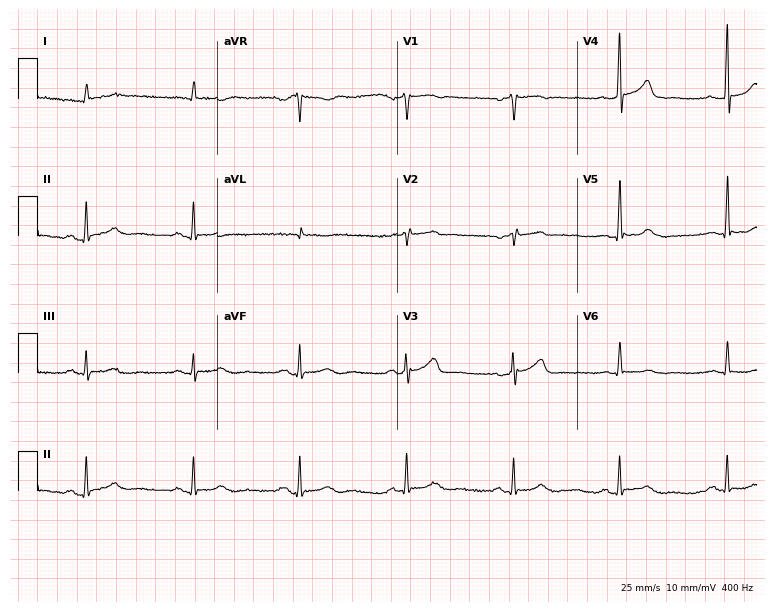
Standard 12-lead ECG recorded from a 79-year-old male. None of these six findings is recorded: first-degree AV block, right bundle branch block (RBBB), left bundle branch block (LBBB), sinus bradycardia, atrial fibrillation (AF), sinus tachycardia. Other findings, if any, are not listed.